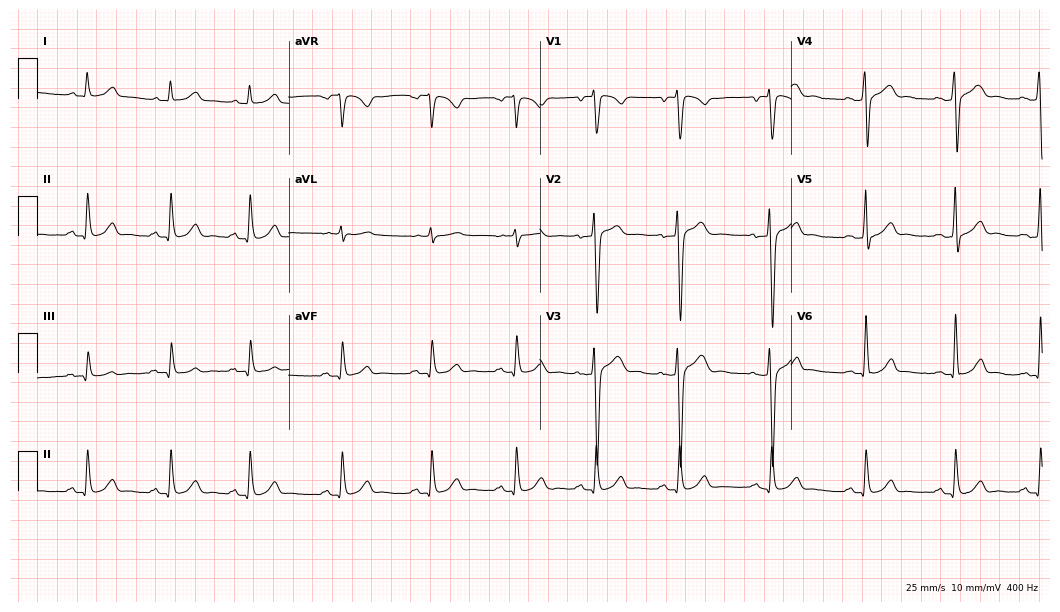
12-lead ECG from a 34-year-old man (10.2-second recording at 400 Hz). Recorded interpretation: within normal limits.